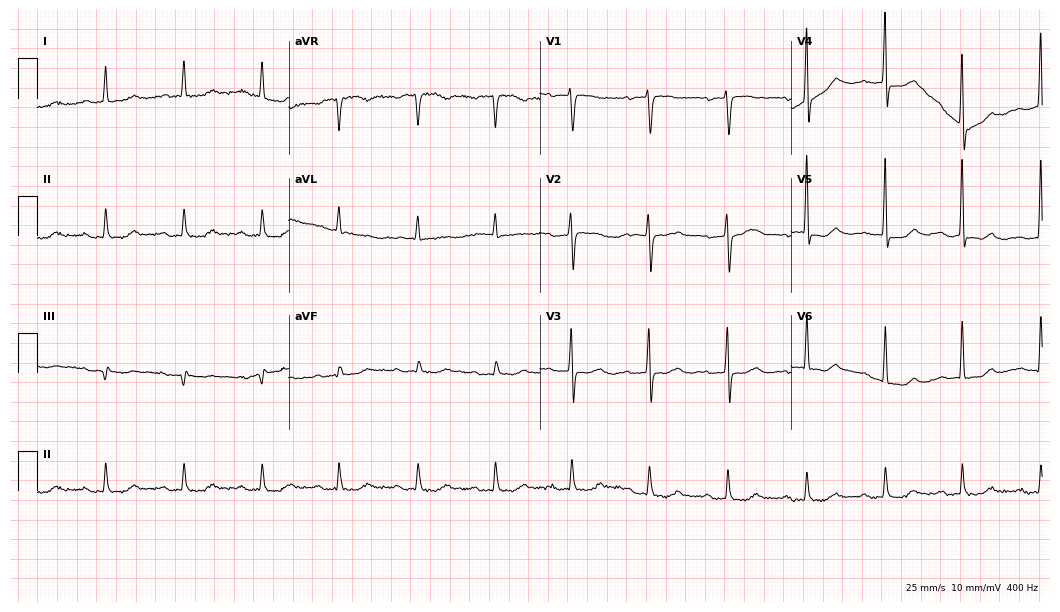
Resting 12-lead electrocardiogram (10.2-second recording at 400 Hz). Patient: an 84-year-old female. The tracing shows first-degree AV block.